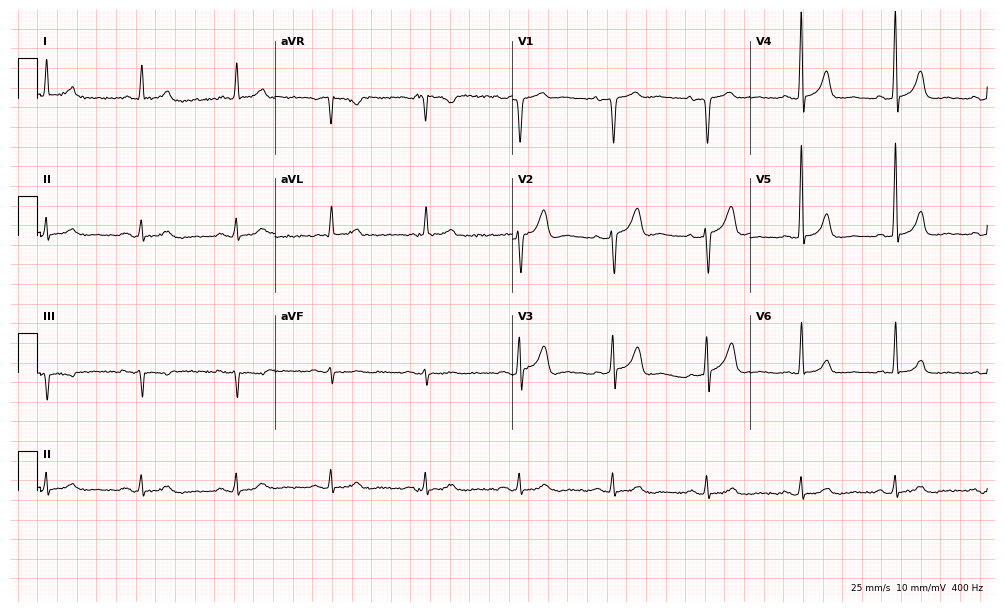
Electrocardiogram (9.7-second recording at 400 Hz), an 81-year-old male patient. Overall reading on record: normal ECG.